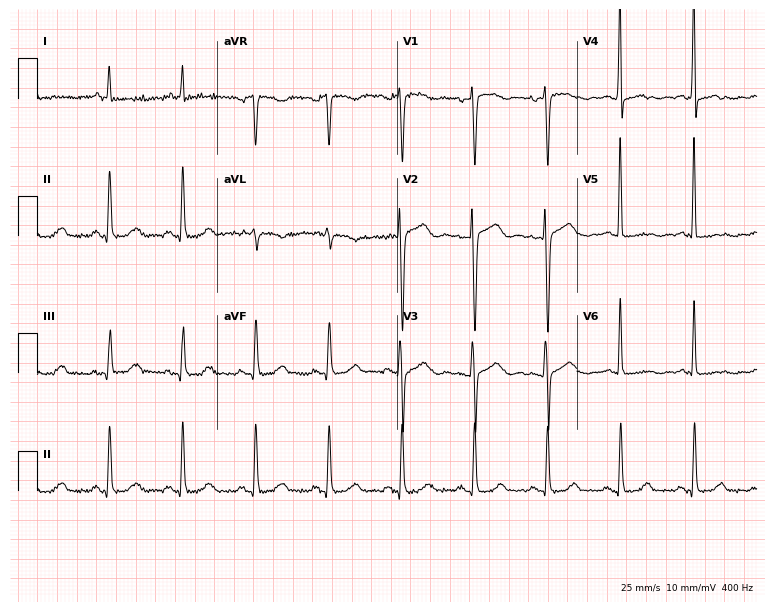
12-lead ECG (7.3-second recording at 400 Hz) from a 61-year-old female patient. Labelled as a normal ECG.